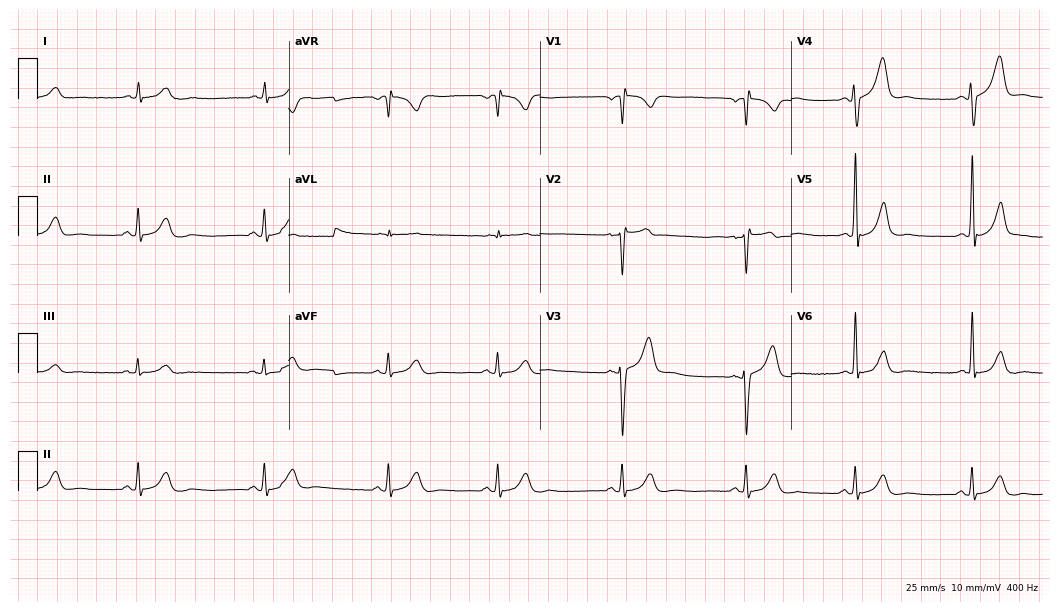
Standard 12-lead ECG recorded from a male patient, 41 years old. The tracing shows sinus bradycardia (a sinus rate of 50 beats per minute or less).